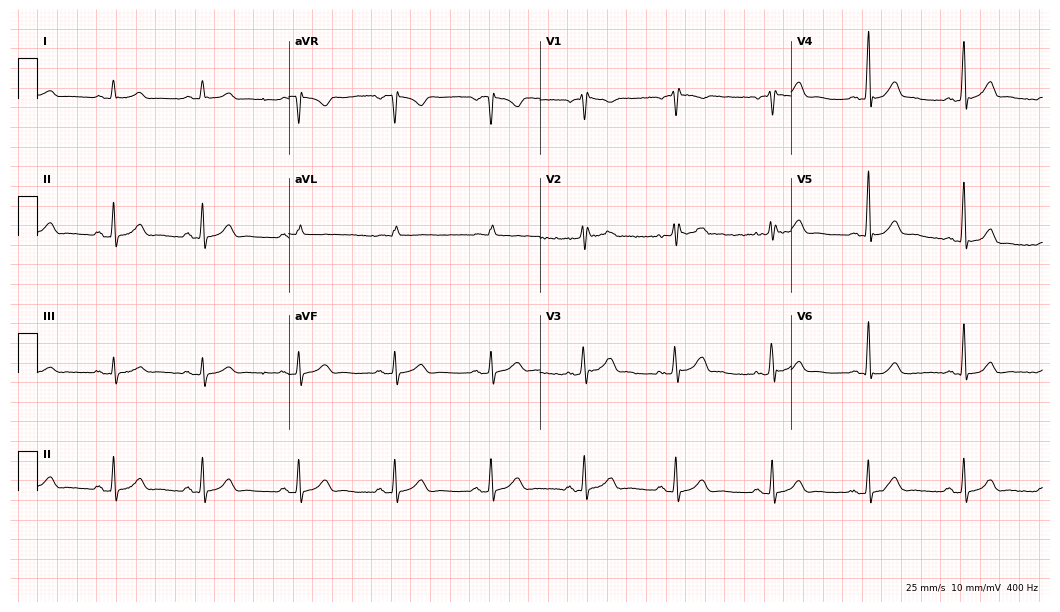
Standard 12-lead ECG recorded from a 52-year-old male patient (10.2-second recording at 400 Hz). None of these six findings is recorded: first-degree AV block, right bundle branch block, left bundle branch block, sinus bradycardia, atrial fibrillation, sinus tachycardia.